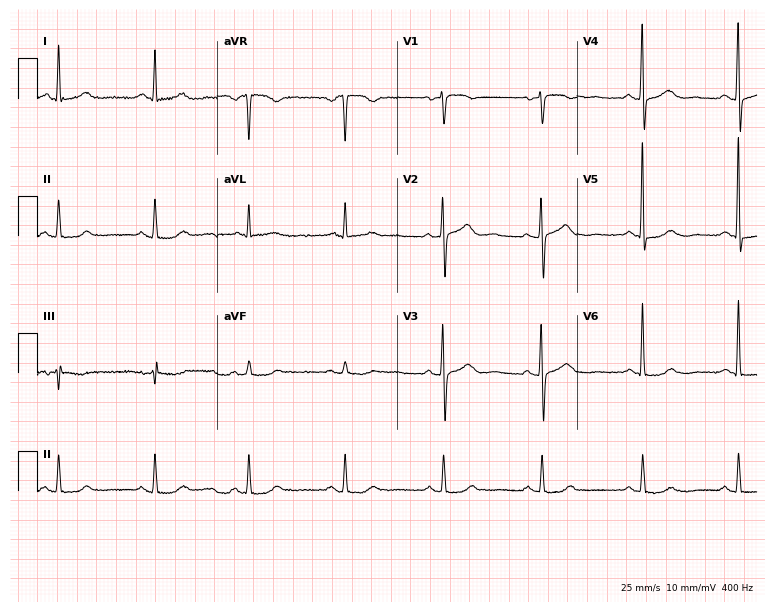
12-lead ECG from a 62-year-old female. No first-degree AV block, right bundle branch block, left bundle branch block, sinus bradycardia, atrial fibrillation or sinus tachycardia recorded for this tracing. Only these six findings were labelled.